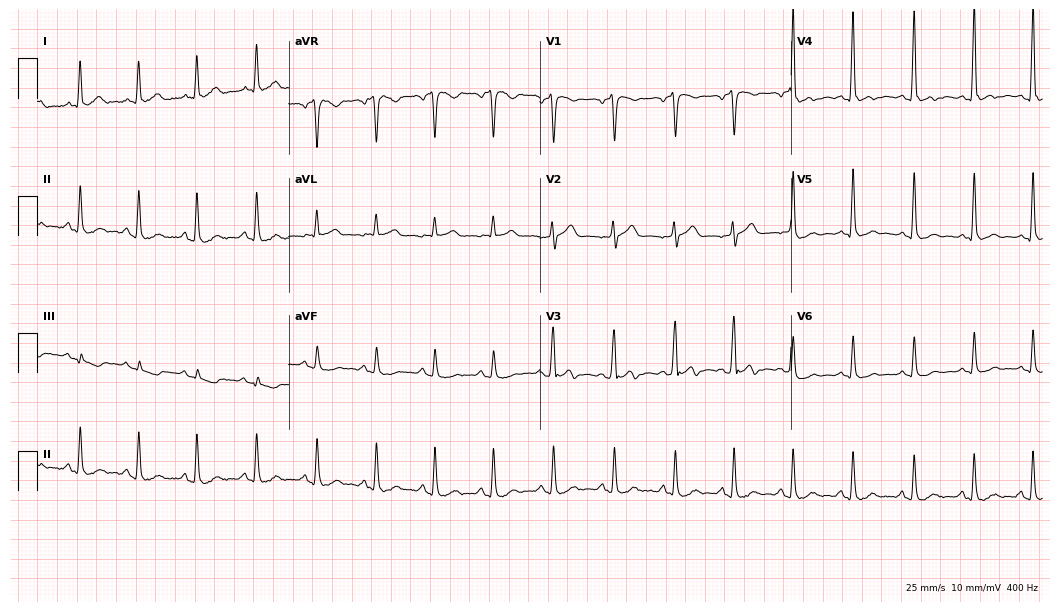
ECG — a 23-year-old man. Screened for six findings — first-degree AV block, right bundle branch block (RBBB), left bundle branch block (LBBB), sinus bradycardia, atrial fibrillation (AF), sinus tachycardia — none is recorded.